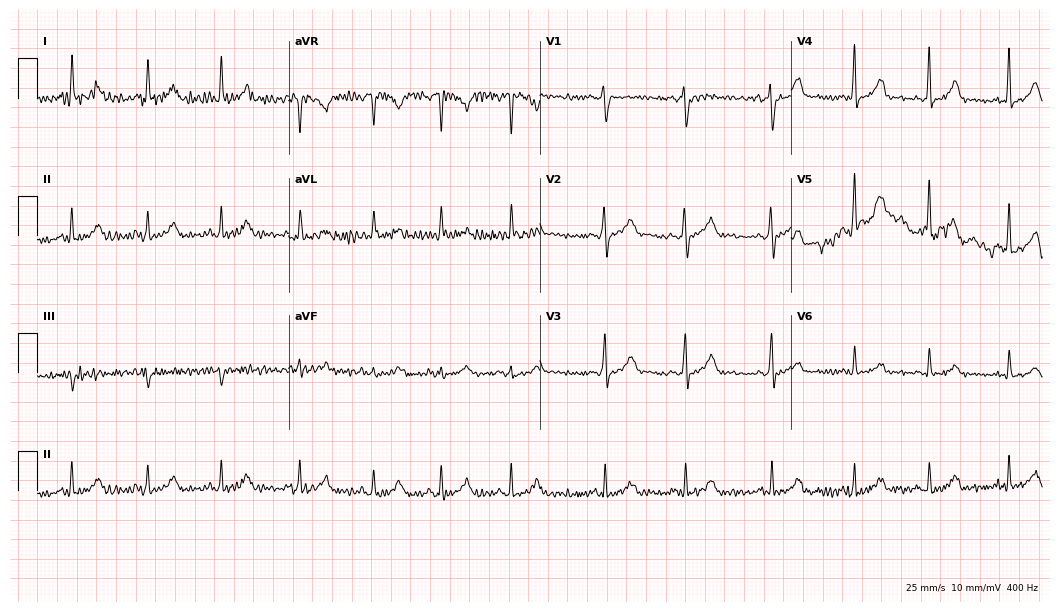
Resting 12-lead electrocardiogram (10.2-second recording at 400 Hz). Patient: a 40-year-old female. None of these six findings is recorded: first-degree AV block, right bundle branch block, left bundle branch block, sinus bradycardia, atrial fibrillation, sinus tachycardia.